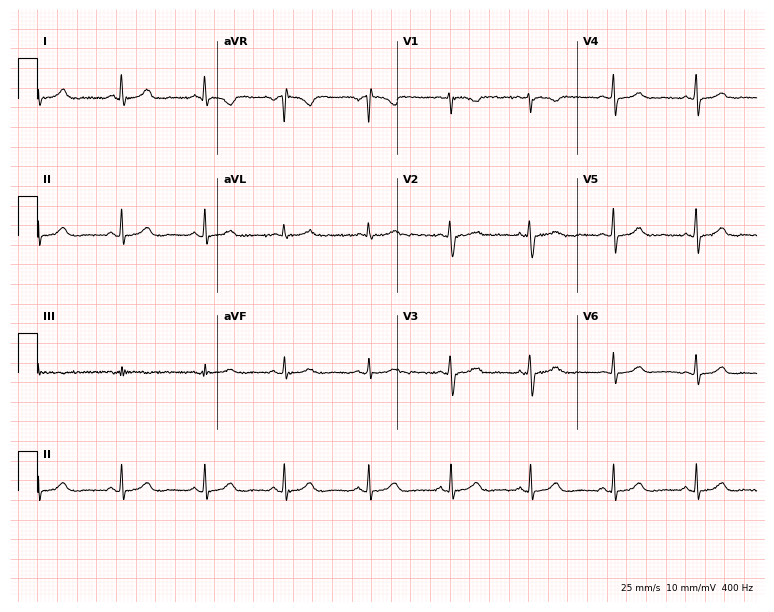
Resting 12-lead electrocardiogram. Patient: a 39-year-old female. Read as a normal ECG.